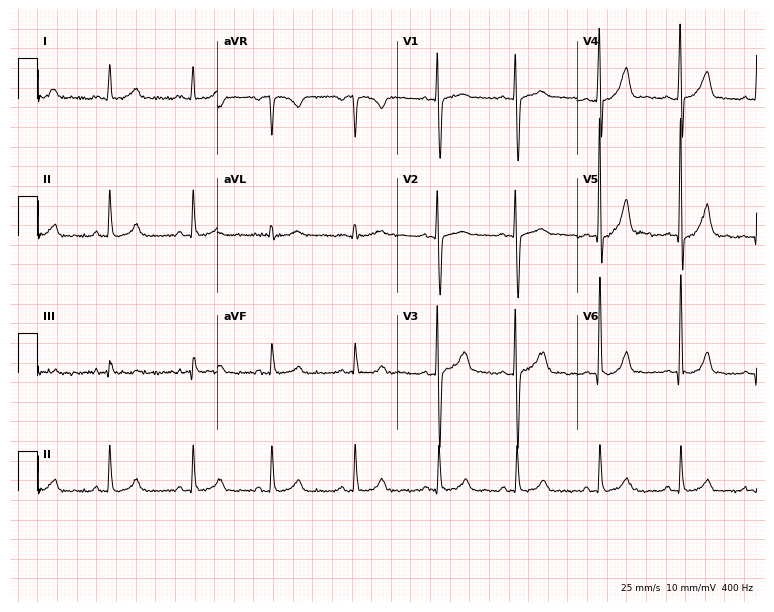
Resting 12-lead electrocardiogram (7.3-second recording at 400 Hz). Patient: a 19-year-old male. Read as a normal ECG.